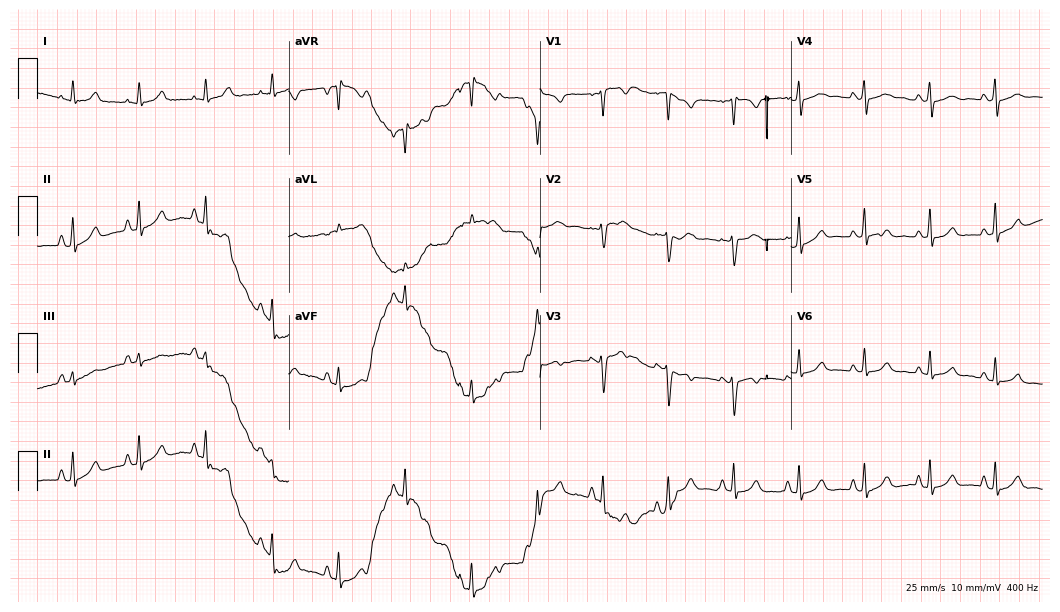
12-lead ECG (10.2-second recording at 400 Hz) from a 21-year-old female. Labelled as a normal ECG.